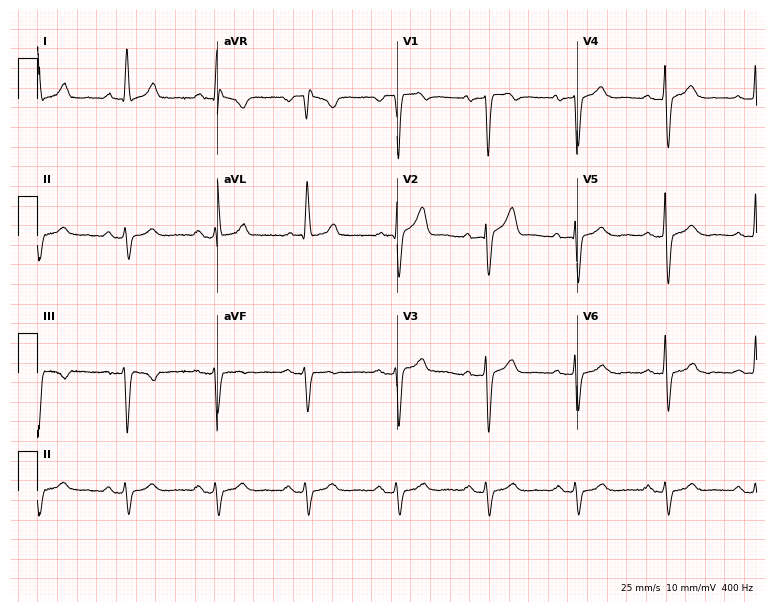
Standard 12-lead ECG recorded from a male patient, 72 years old (7.3-second recording at 400 Hz). None of these six findings is recorded: first-degree AV block, right bundle branch block, left bundle branch block, sinus bradycardia, atrial fibrillation, sinus tachycardia. Only these six findings were labelled.